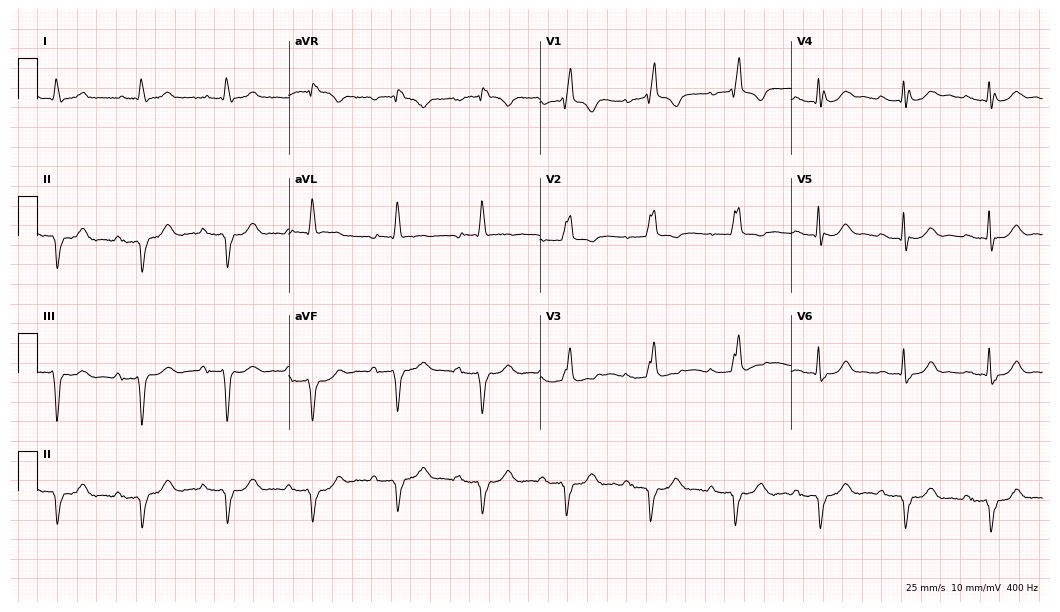
Electrocardiogram, a male, 85 years old. Interpretation includes first-degree AV block, right bundle branch block.